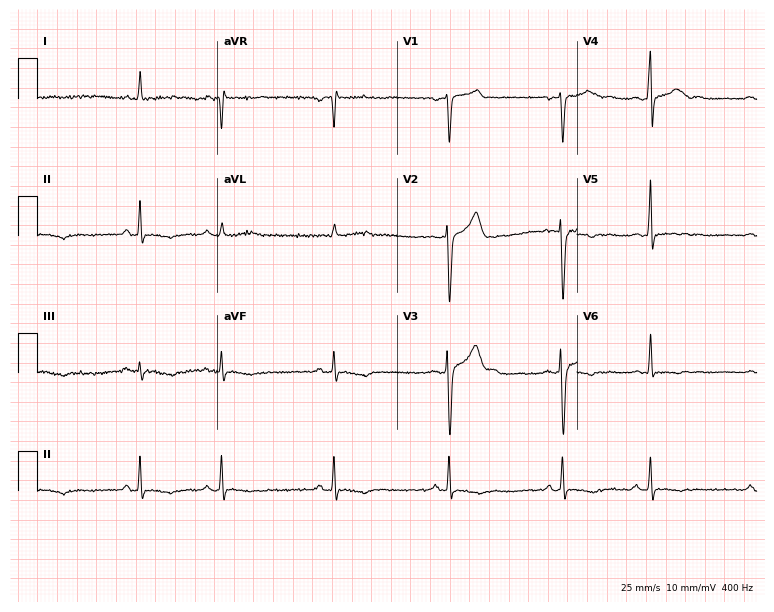
12-lead ECG from a 61-year-old male patient (7.3-second recording at 400 Hz). No first-degree AV block, right bundle branch block, left bundle branch block, sinus bradycardia, atrial fibrillation or sinus tachycardia recorded for this tracing.